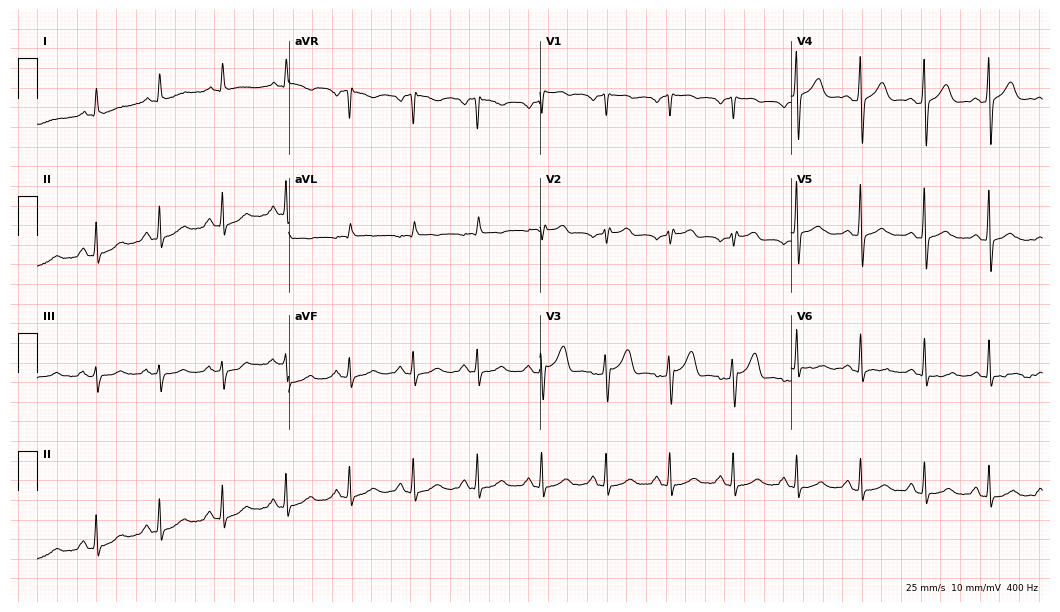
Standard 12-lead ECG recorded from a female, 54 years old (10.2-second recording at 400 Hz). None of these six findings is recorded: first-degree AV block, right bundle branch block, left bundle branch block, sinus bradycardia, atrial fibrillation, sinus tachycardia. Findings outside these six are not listed.